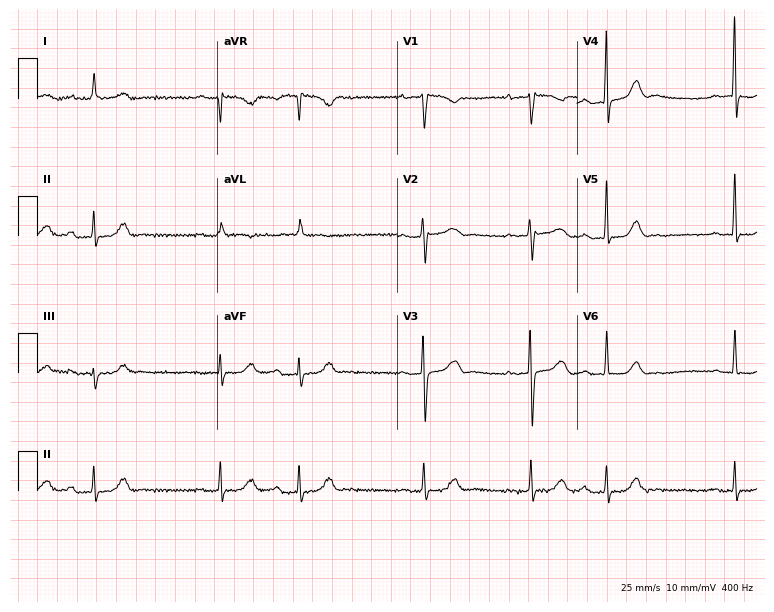
ECG — a 70-year-old female patient. Screened for six findings — first-degree AV block, right bundle branch block, left bundle branch block, sinus bradycardia, atrial fibrillation, sinus tachycardia — none is recorded.